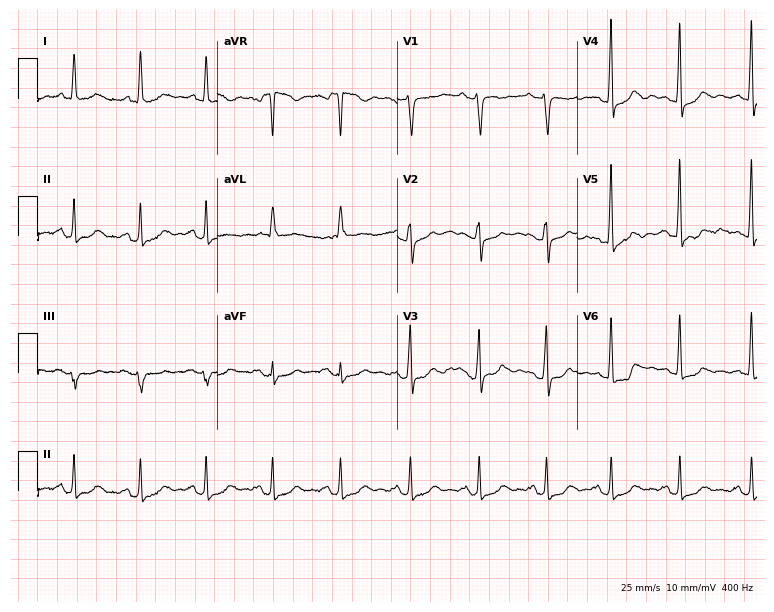
Standard 12-lead ECG recorded from a female, 43 years old (7.3-second recording at 400 Hz). None of these six findings is recorded: first-degree AV block, right bundle branch block, left bundle branch block, sinus bradycardia, atrial fibrillation, sinus tachycardia. Only these six findings were labelled.